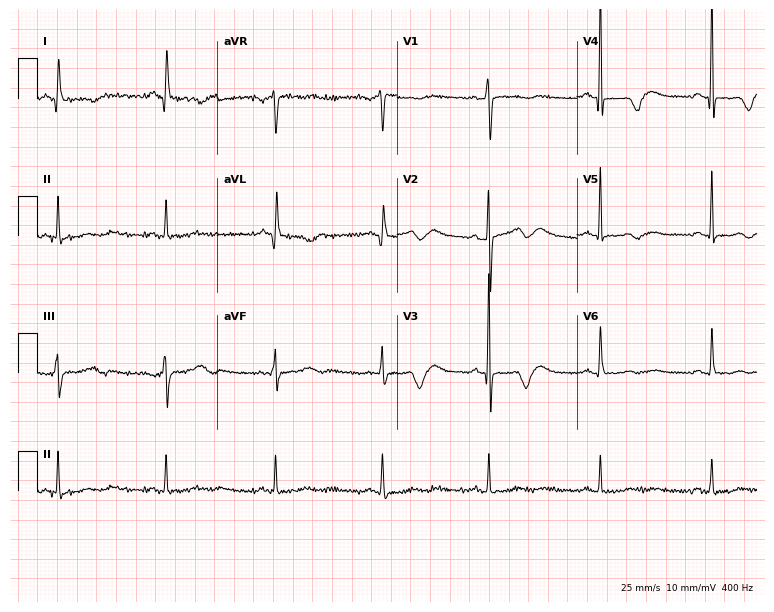
Resting 12-lead electrocardiogram (7.3-second recording at 400 Hz). Patient: a female, 73 years old. None of these six findings is recorded: first-degree AV block, right bundle branch block, left bundle branch block, sinus bradycardia, atrial fibrillation, sinus tachycardia. Other findings, if any, are not listed.